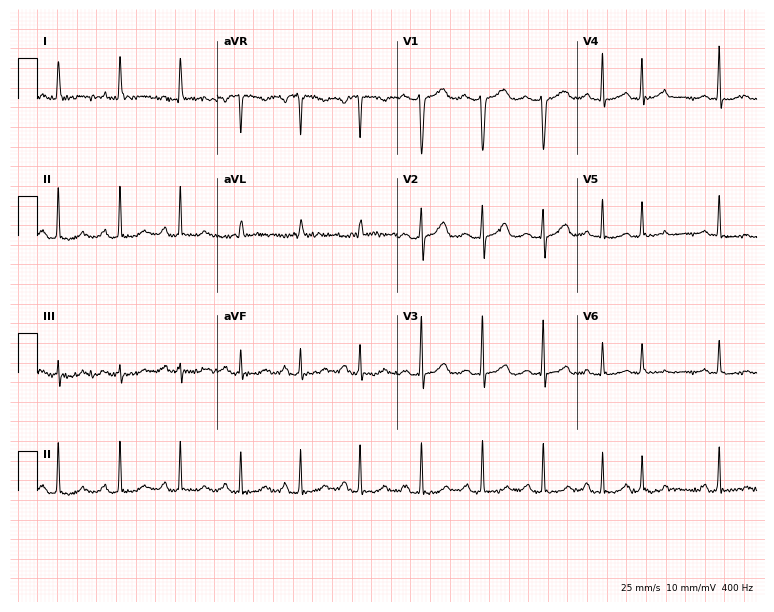
Resting 12-lead electrocardiogram. Patient: a female, 65 years old. None of these six findings is recorded: first-degree AV block, right bundle branch block, left bundle branch block, sinus bradycardia, atrial fibrillation, sinus tachycardia. Only these six findings were labelled.